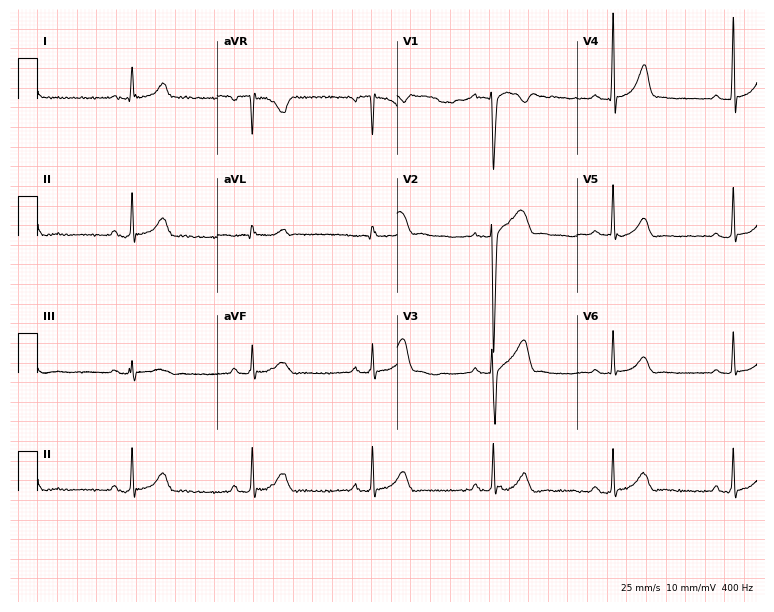
12-lead ECG from a male, 24 years old. Screened for six findings — first-degree AV block, right bundle branch block, left bundle branch block, sinus bradycardia, atrial fibrillation, sinus tachycardia — none is recorded.